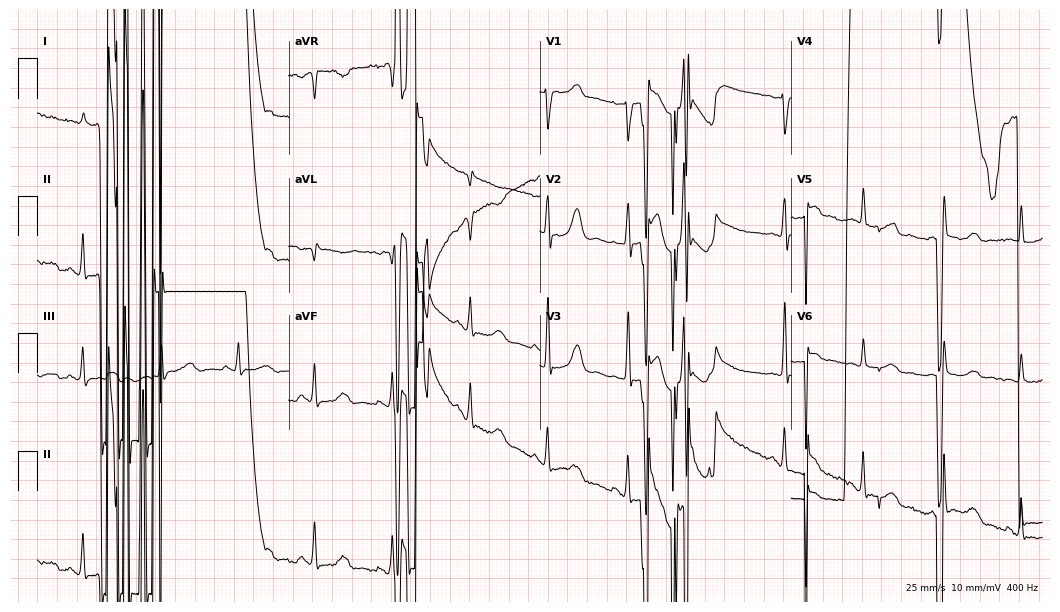
Standard 12-lead ECG recorded from a female patient, 79 years old (10.2-second recording at 400 Hz). None of these six findings is recorded: first-degree AV block, right bundle branch block, left bundle branch block, sinus bradycardia, atrial fibrillation, sinus tachycardia.